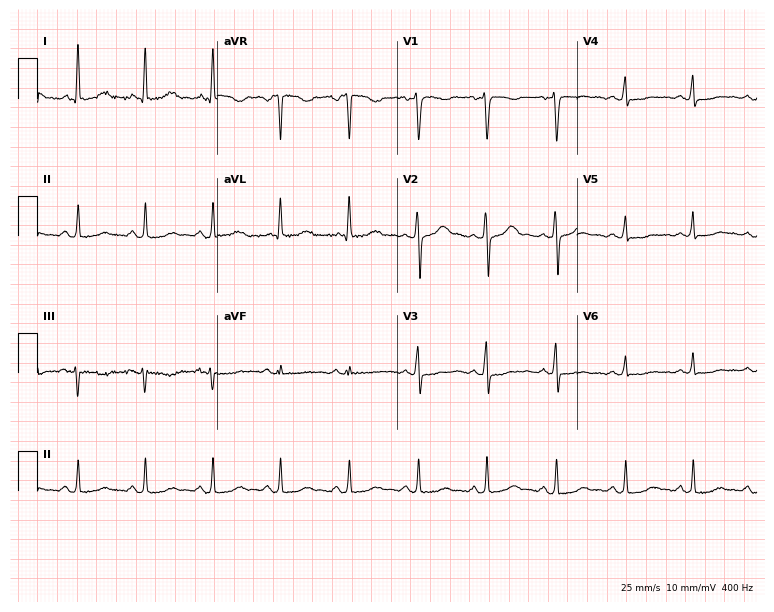
12-lead ECG from a woman, 56 years old. Labelled as a normal ECG.